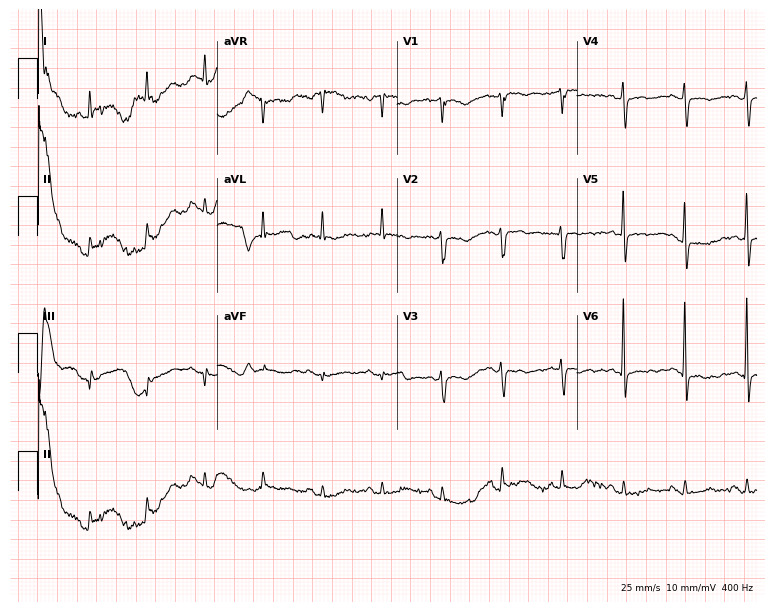
Electrocardiogram (7.3-second recording at 400 Hz), a male patient, 78 years old. Of the six screened findings (first-degree AV block, right bundle branch block, left bundle branch block, sinus bradycardia, atrial fibrillation, sinus tachycardia), none is recorded. Other findings, if any, are not listed.